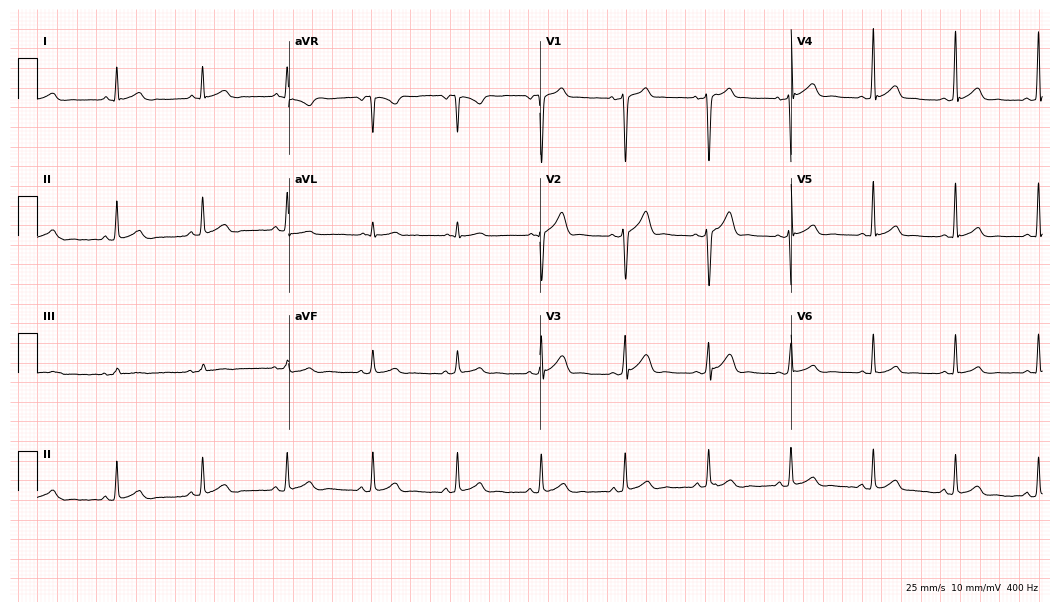
Standard 12-lead ECG recorded from a man, 37 years old (10.2-second recording at 400 Hz). Read as a normal ECG.